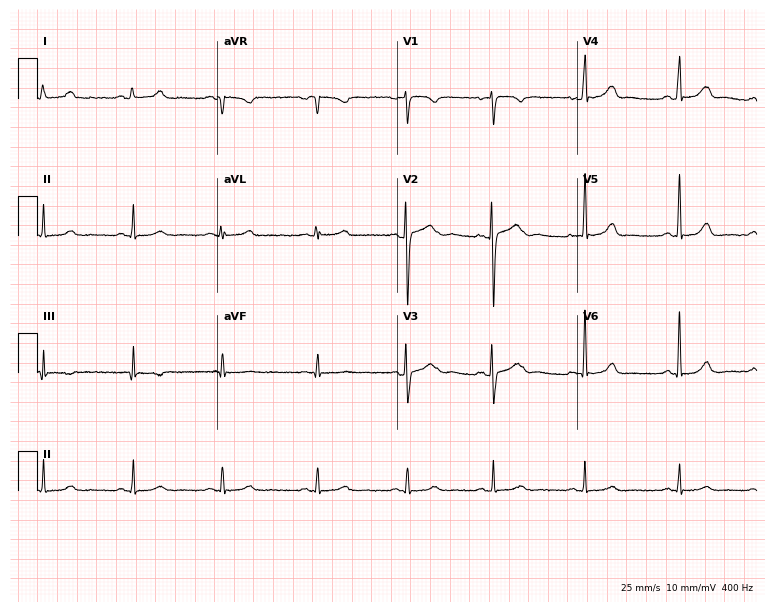
12-lead ECG from a 32-year-old female patient. No first-degree AV block, right bundle branch block, left bundle branch block, sinus bradycardia, atrial fibrillation or sinus tachycardia recorded for this tracing.